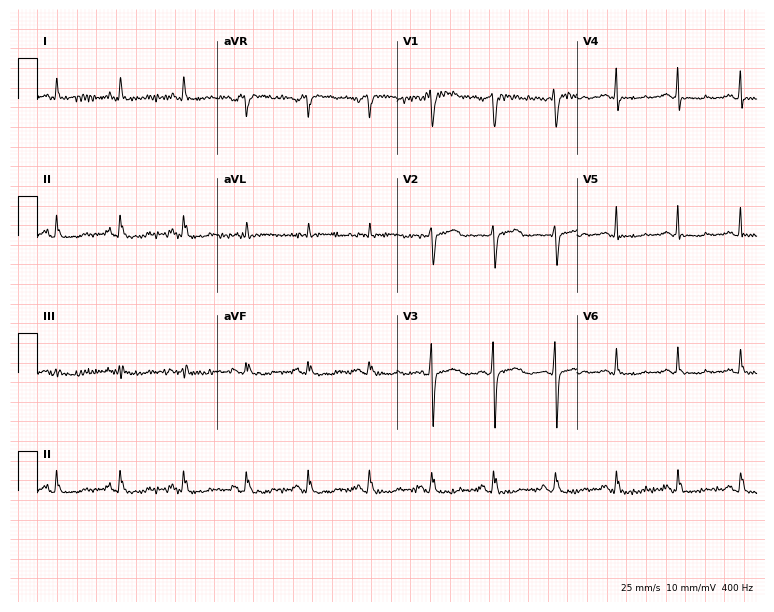
12-lead ECG from a 55-year-old female patient. No first-degree AV block, right bundle branch block (RBBB), left bundle branch block (LBBB), sinus bradycardia, atrial fibrillation (AF) or sinus tachycardia recorded for this tracing.